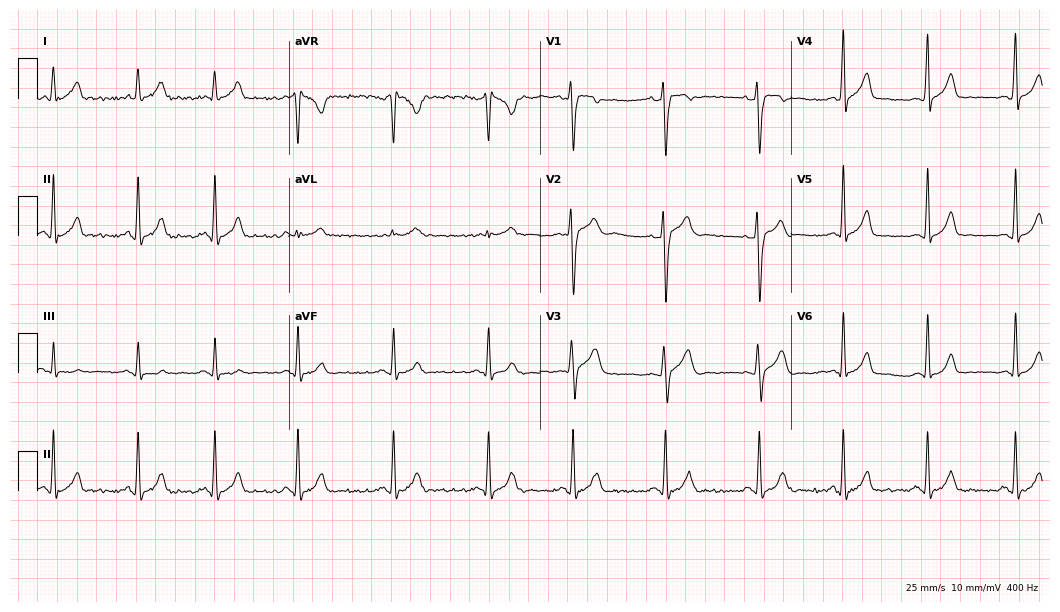
12-lead ECG from a 19-year-old male. Labelled as a normal ECG.